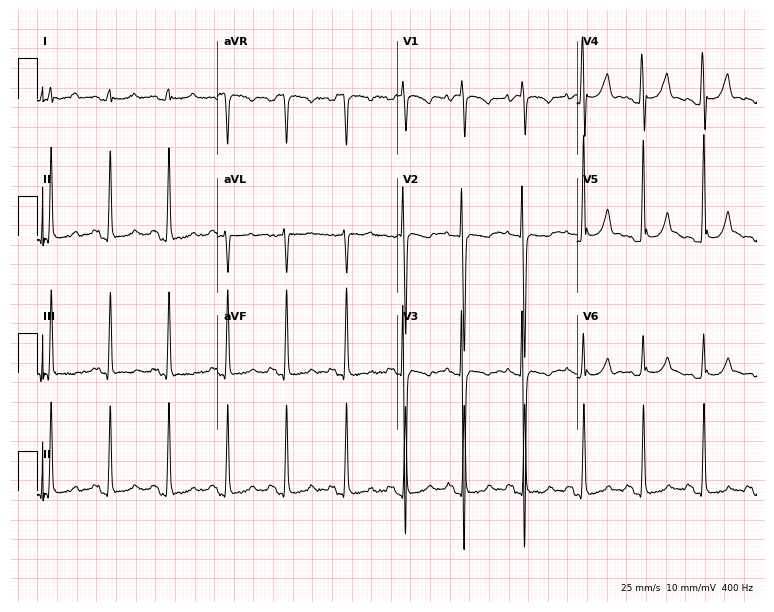
ECG — a 30-year-old female patient. Screened for six findings — first-degree AV block, right bundle branch block, left bundle branch block, sinus bradycardia, atrial fibrillation, sinus tachycardia — none is recorded.